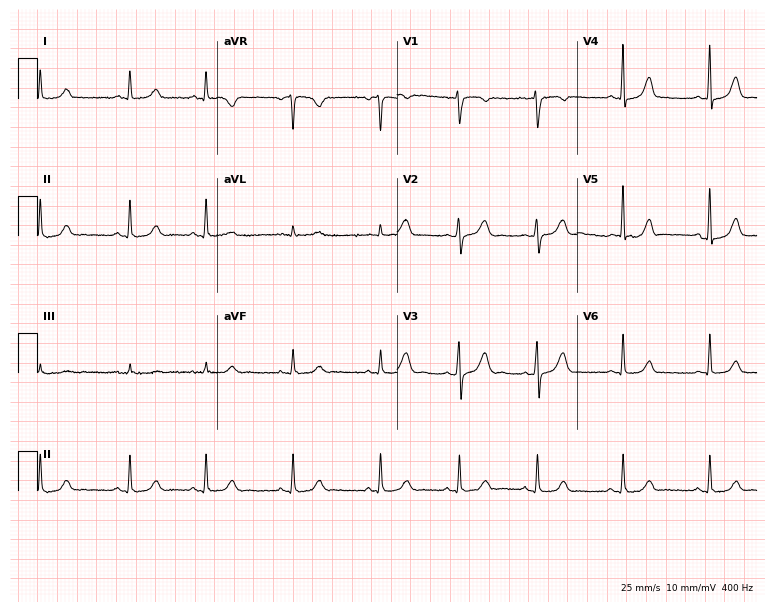
Standard 12-lead ECG recorded from a 26-year-old female. Read as a normal ECG.